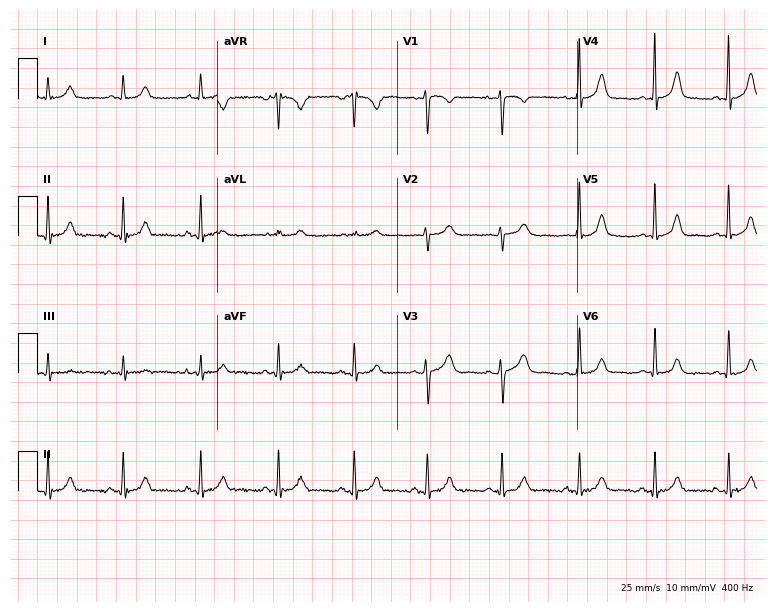
12-lead ECG (7.3-second recording at 400 Hz) from a 23-year-old woman. Labelled as a normal ECG.